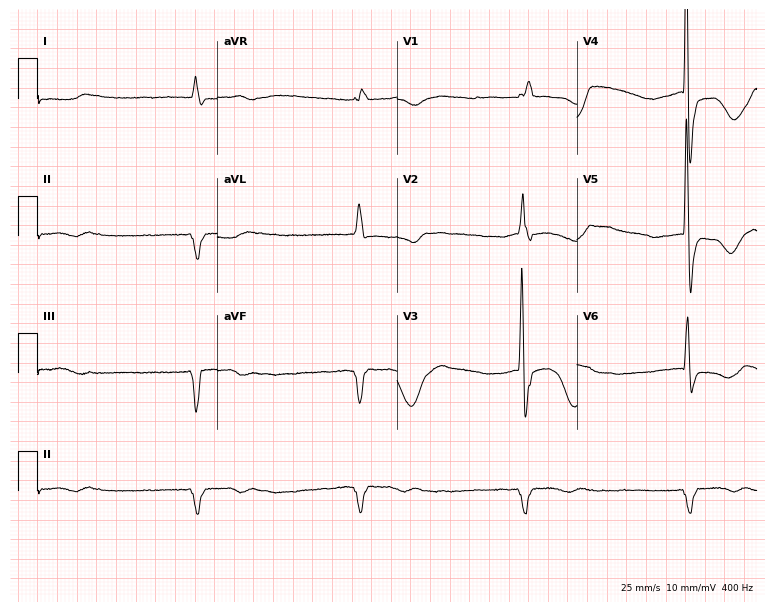
Standard 12-lead ECG recorded from a male patient, 83 years old. None of these six findings is recorded: first-degree AV block, right bundle branch block, left bundle branch block, sinus bradycardia, atrial fibrillation, sinus tachycardia. Other findings, if any, are not listed.